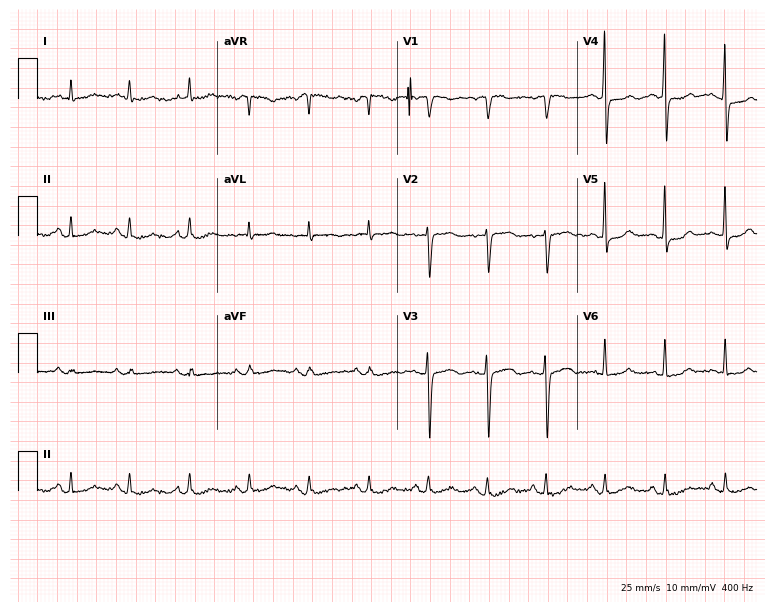
ECG — a female, 47 years old. Screened for six findings — first-degree AV block, right bundle branch block, left bundle branch block, sinus bradycardia, atrial fibrillation, sinus tachycardia — none is recorded. Findings outside these six are not listed.